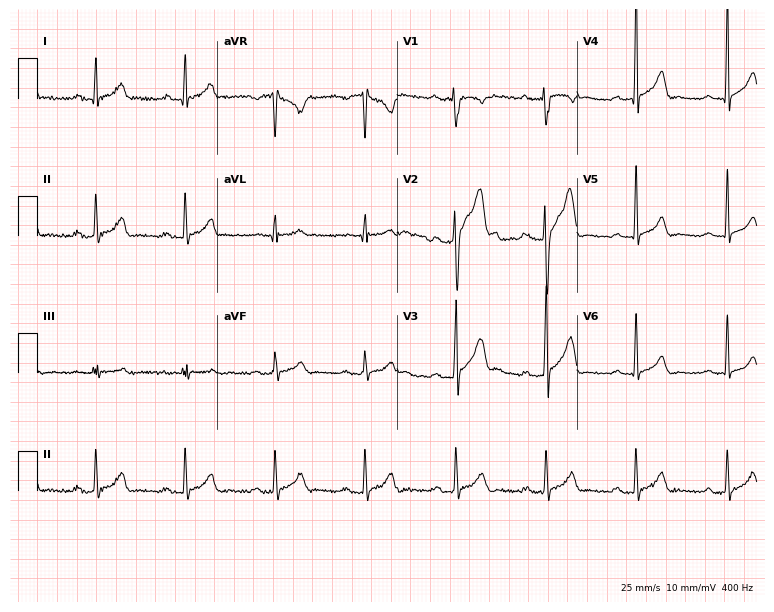
Standard 12-lead ECG recorded from a 36-year-old male. The tracing shows first-degree AV block.